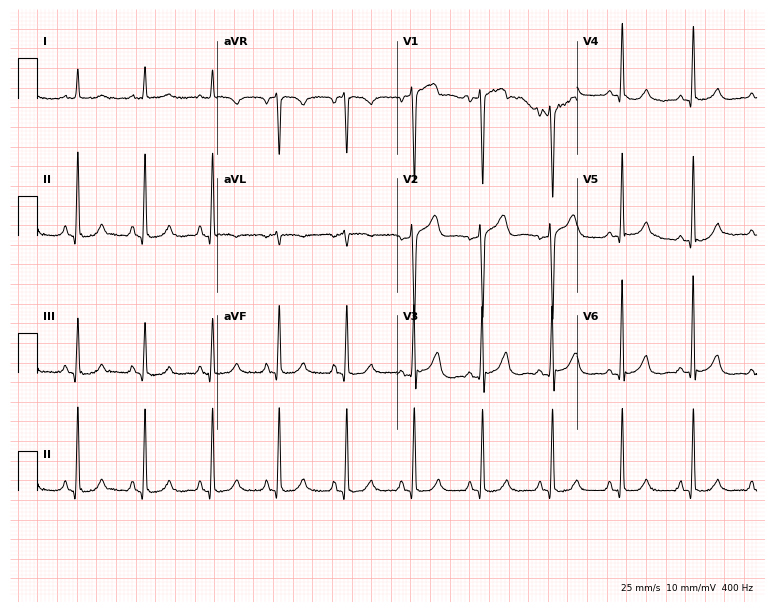
Electrocardiogram (7.3-second recording at 400 Hz), a male, 62 years old. Of the six screened findings (first-degree AV block, right bundle branch block, left bundle branch block, sinus bradycardia, atrial fibrillation, sinus tachycardia), none is recorded.